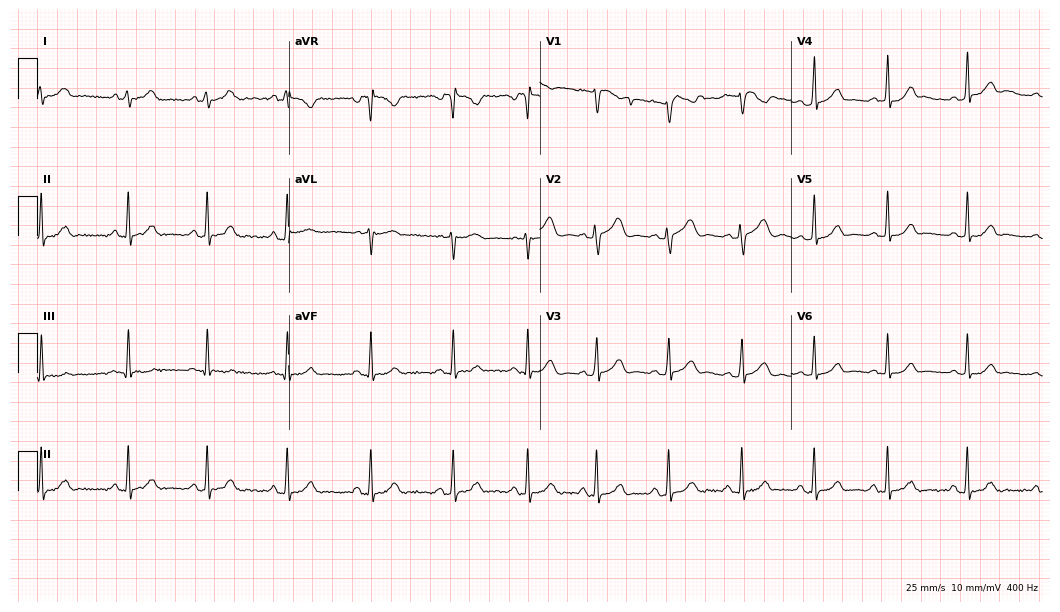
12-lead ECG from a woman, 17 years old (10.2-second recording at 400 Hz). Recorded interpretation: within normal limits.